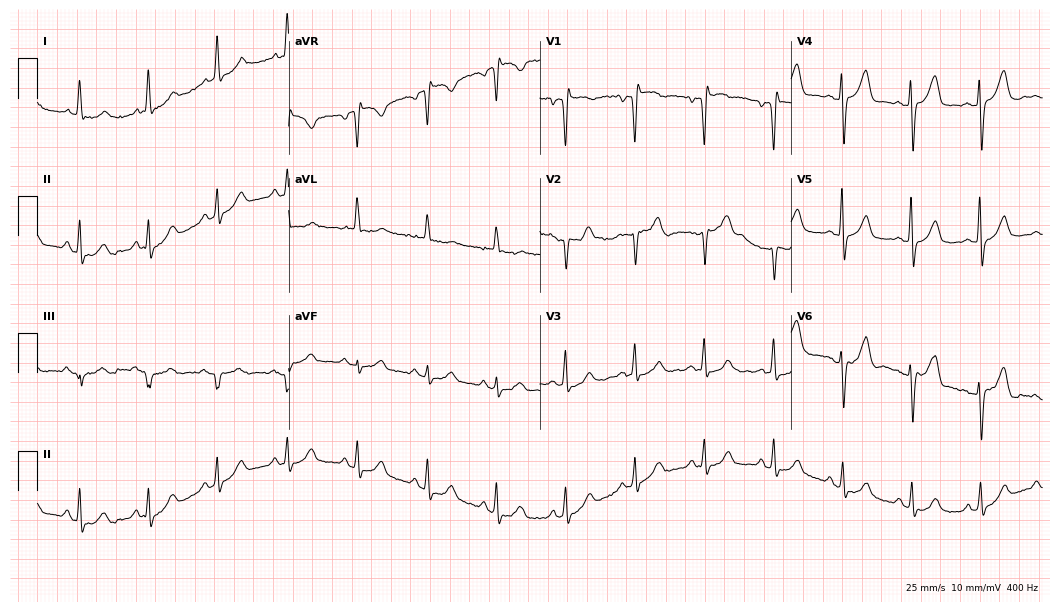
12-lead ECG (10.2-second recording at 400 Hz) from a 72-year-old male patient. Labelled as a normal ECG.